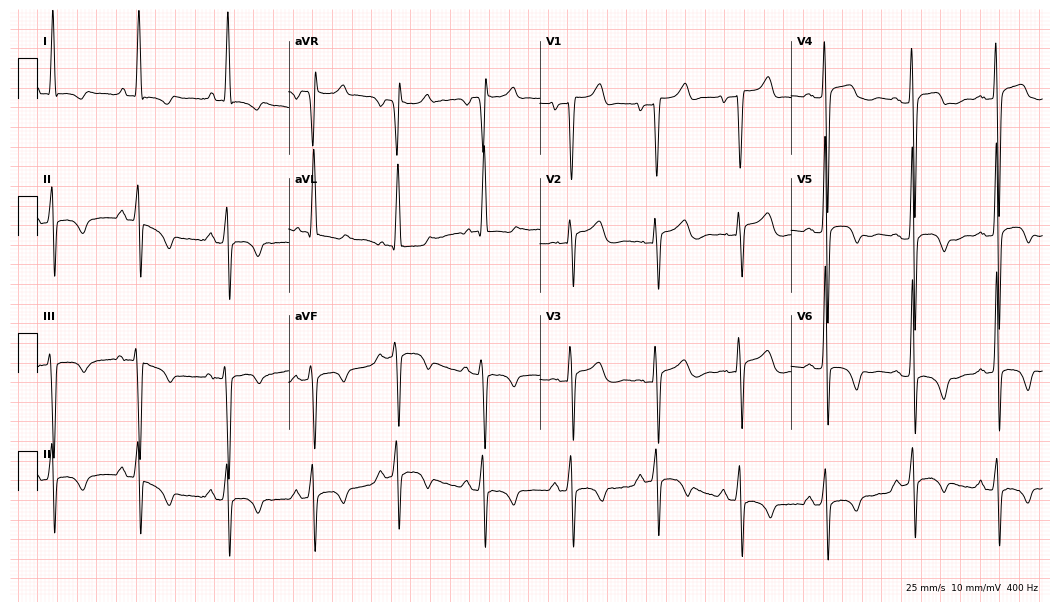
ECG (10.2-second recording at 400 Hz) — a 58-year-old female patient. Screened for six findings — first-degree AV block, right bundle branch block, left bundle branch block, sinus bradycardia, atrial fibrillation, sinus tachycardia — none is recorded.